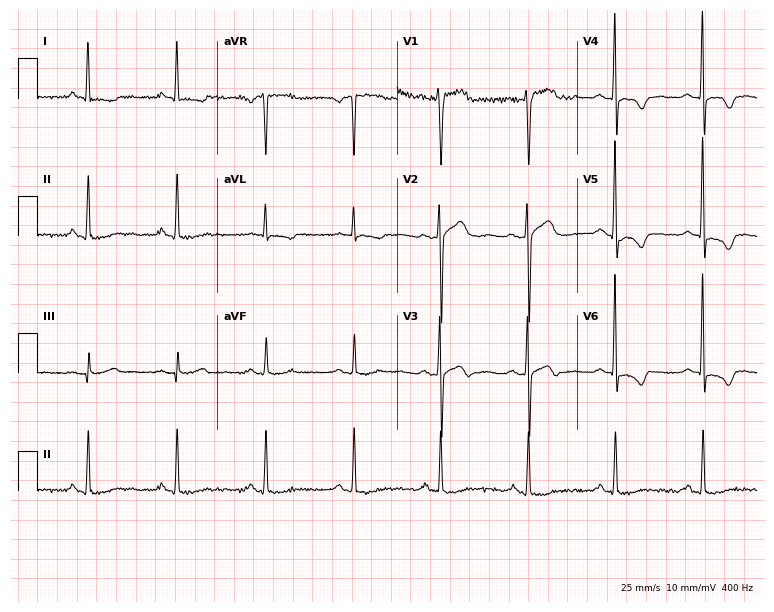
Standard 12-lead ECG recorded from a man, 59 years old (7.3-second recording at 400 Hz). None of these six findings is recorded: first-degree AV block, right bundle branch block, left bundle branch block, sinus bradycardia, atrial fibrillation, sinus tachycardia. Other findings, if any, are not listed.